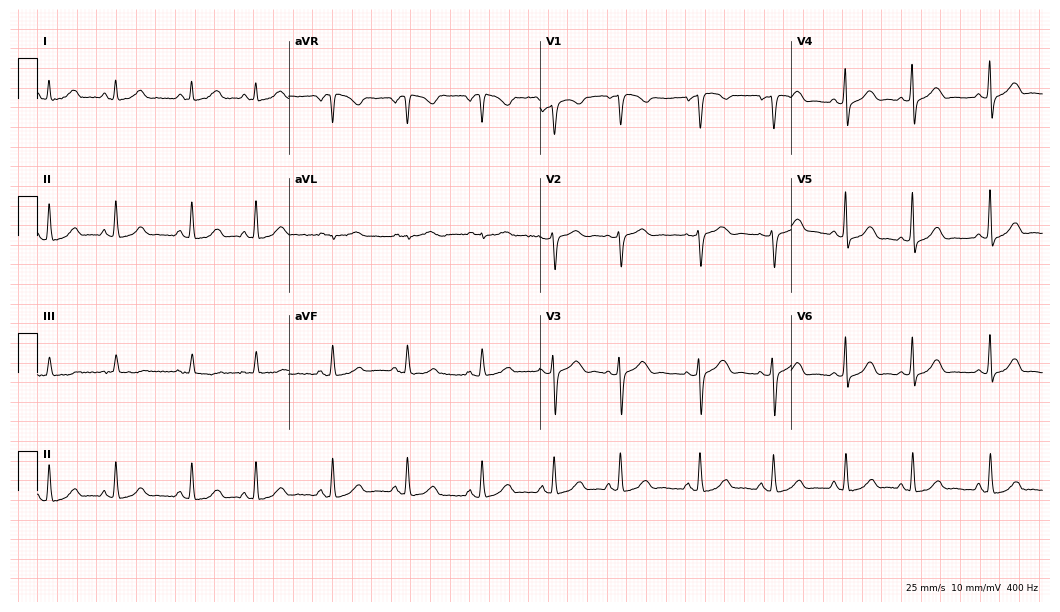
Resting 12-lead electrocardiogram. Patient: a female, 54 years old. Read as a normal ECG.